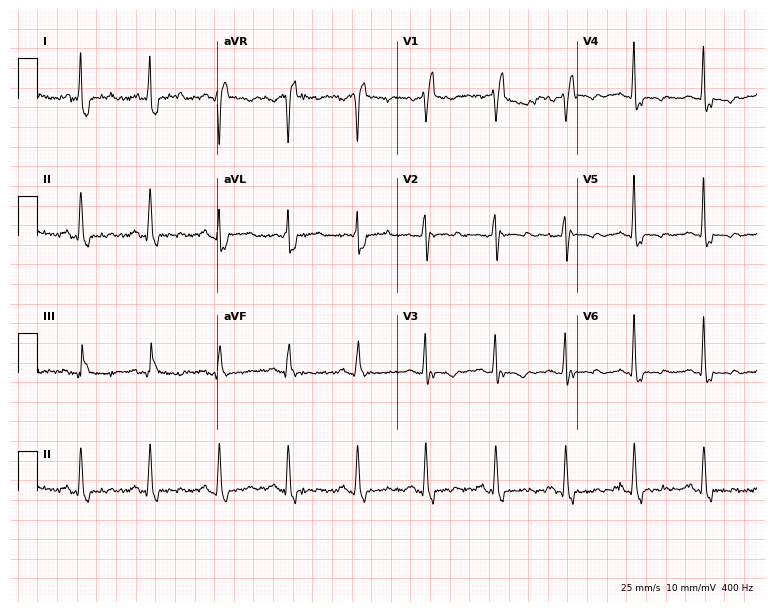
Resting 12-lead electrocardiogram (7.3-second recording at 400 Hz). Patient: a woman, 63 years old. The tracing shows right bundle branch block (RBBB).